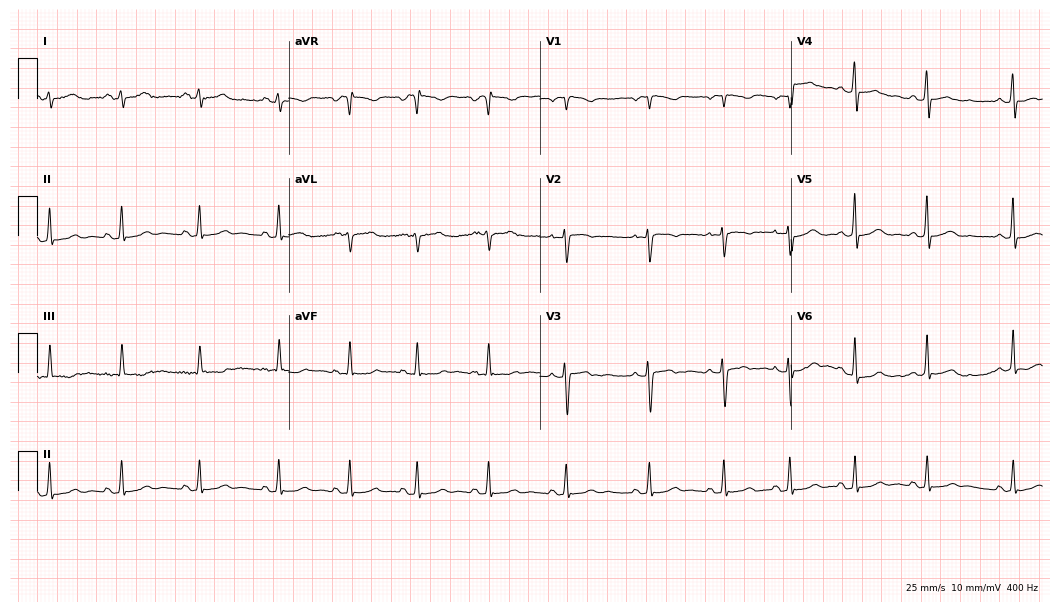
Resting 12-lead electrocardiogram. Patient: a 22-year-old woman. None of these six findings is recorded: first-degree AV block, right bundle branch block (RBBB), left bundle branch block (LBBB), sinus bradycardia, atrial fibrillation (AF), sinus tachycardia. Findings outside these six are not listed.